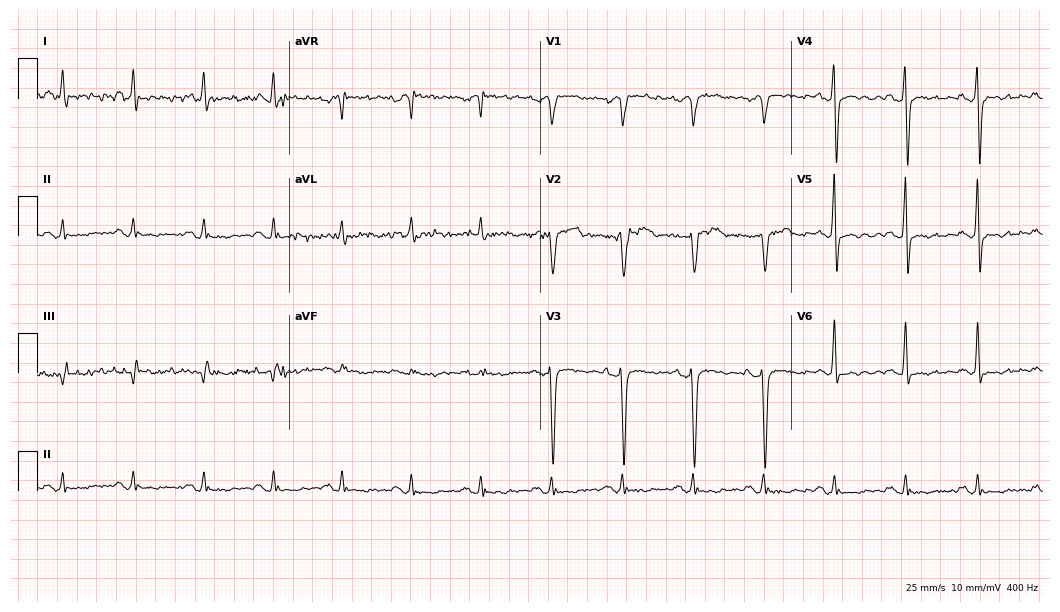
12-lead ECG from a man, 50 years old (10.2-second recording at 400 Hz). No first-degree AV block, right bundle branch block (RBBB), left bundle branch block (LBBB), sinus bradycardia, atrial fibrillation (AF) or sinus tachycardia recorded for this tracing. Findings outside these six are not listed.